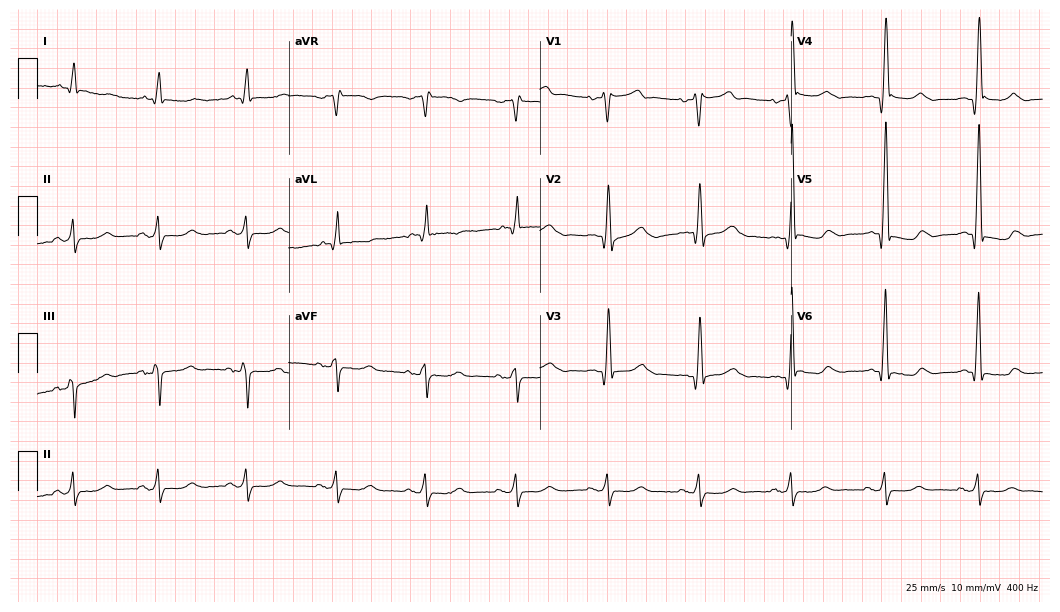
Electrocardiogram, a male, 74 years old. Of the six screened findings (first-degree AV block, right bundle branch block, left bundle branch block, sinus bradycardia, atrial fibrillation, sinus tachycardia), none is recorded.